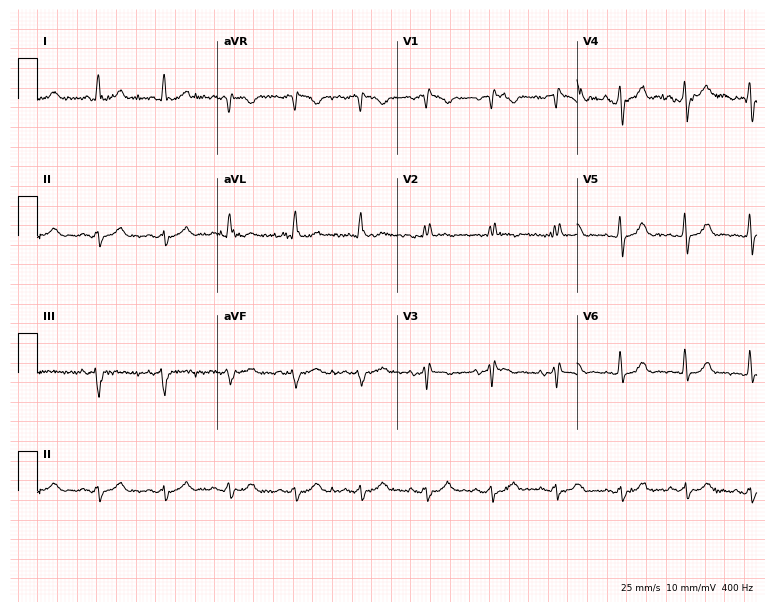
Resting 12-lead electrocardiogram (7.3-second recording at 400 Hz). Patient: a 79-year-old man. None of these six findings is recorded: first-degree AV block, right bundle branch block, left bundle branch block, sinus bradycardia, atrial fibrillation, sinus tachycardia. Only these six findings were labelled.